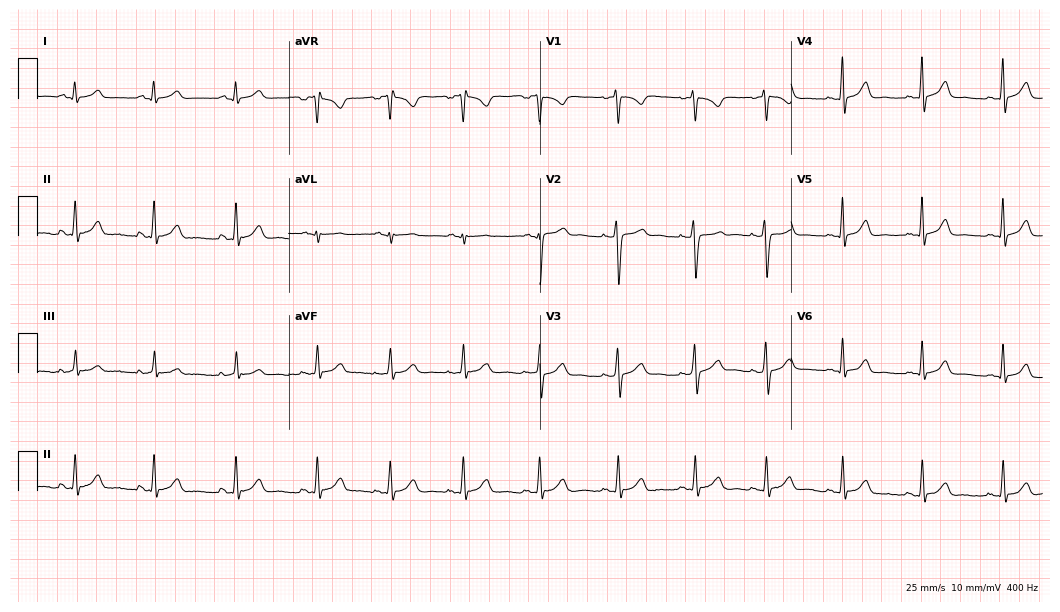
12-lead ECG (10.2-second recording at 400 Hz) from a female, 22 years old. Screened for six findings — first-degree AV block, right bundle branch block, left bundle branch block, sinus bradycardia, atrial fibrillation, sinus tachycardia — none is recorded.